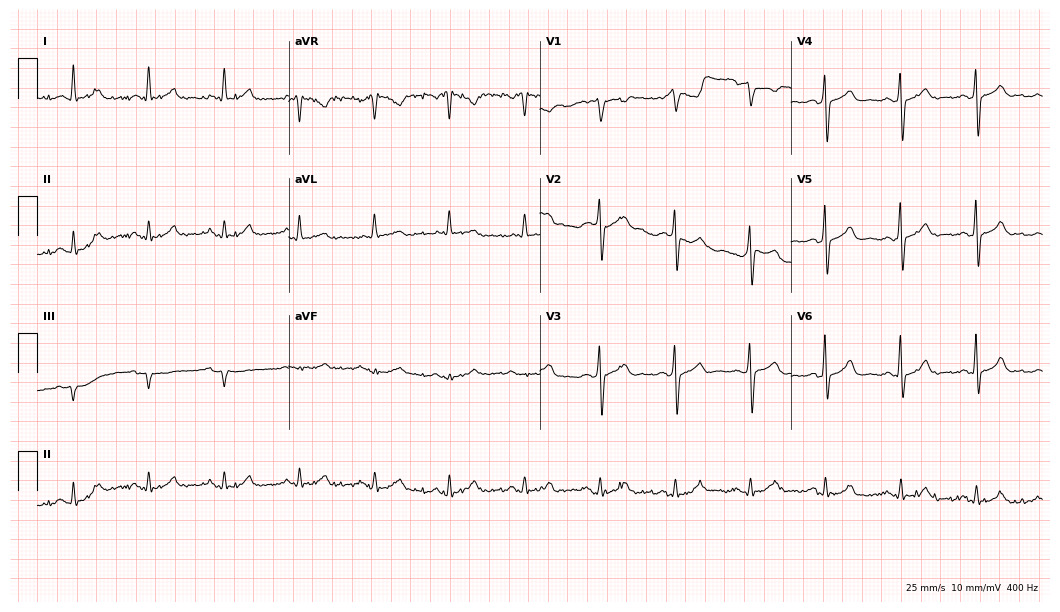
Standard 12-lead ECG recorded from a man, 82 years old (10.2-second recording at 400 Hz). Read as a normal ECG.